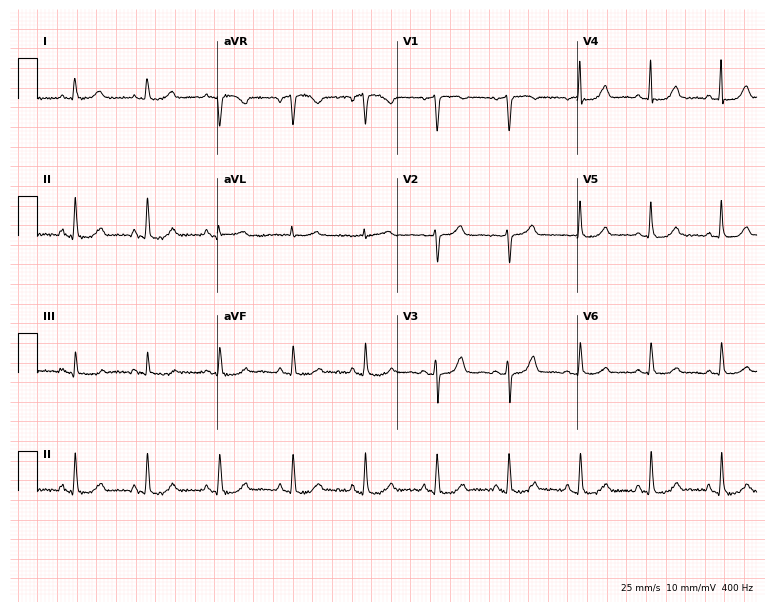
12-lead ECG from a woman, 56 years old. Labelled as a normal ECG.